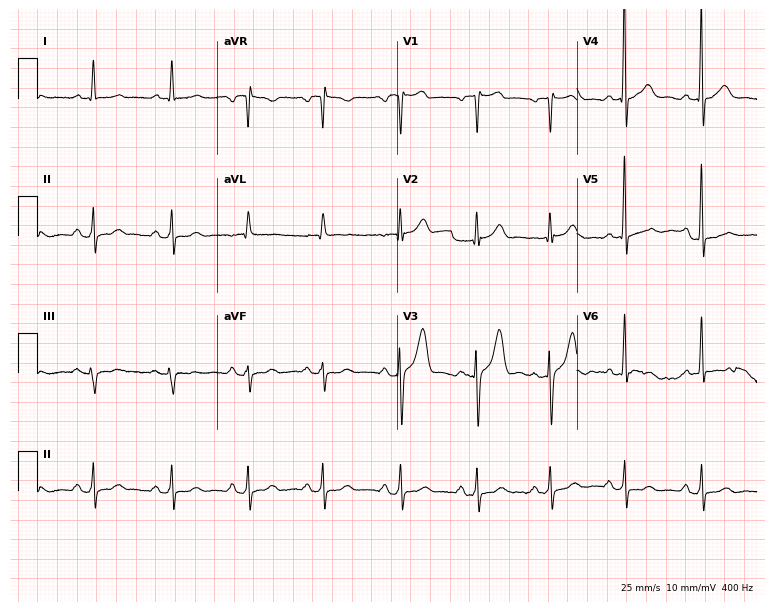
Electrocardiogram (7.3-second recording at 400 Hz), a male patient, 52 years old. Overall reading on record: normal ECG.